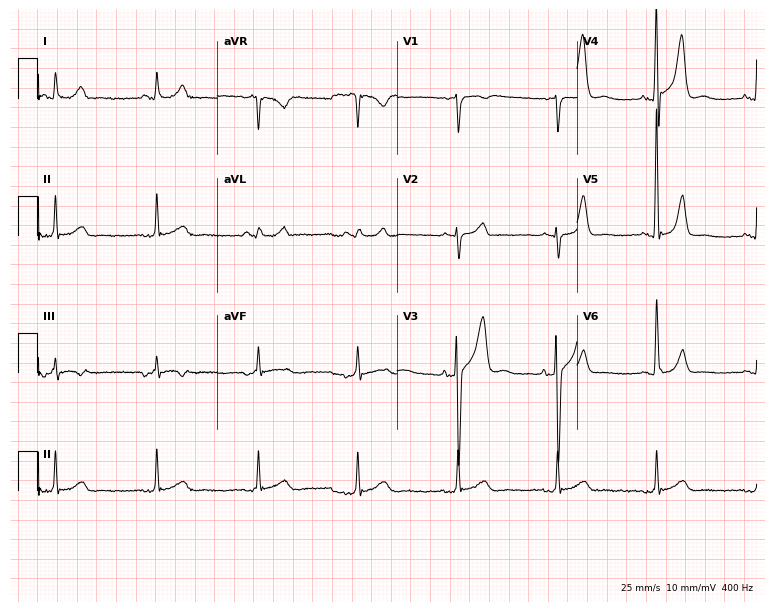
Resting 12-lead electrocardiogram. Patient: a male, 78 years old. None of these six findings is recorded: first-degree AV block, right bundle branch block, left bundle branch block, sinus bradycardia, atrial fibrillation, sinus tachycardia.